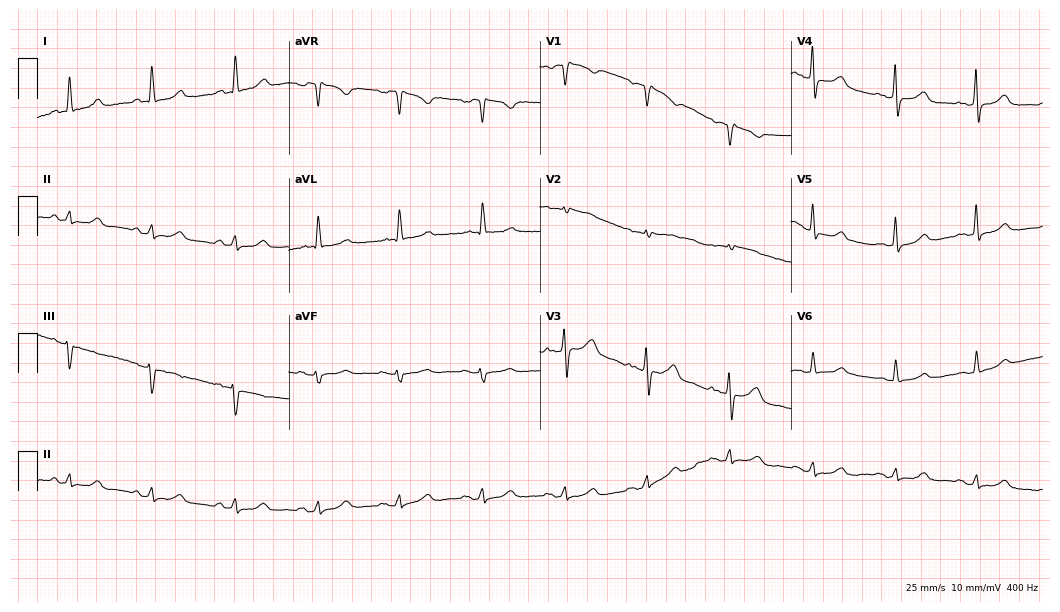
ECG — a female, 67 years old. Screened for six findings — first-degree AV block, right bundle branch block, left bundle branch block, sinus bradycardia, atrial fibrillation, sinus tachycardia — none is recorded.